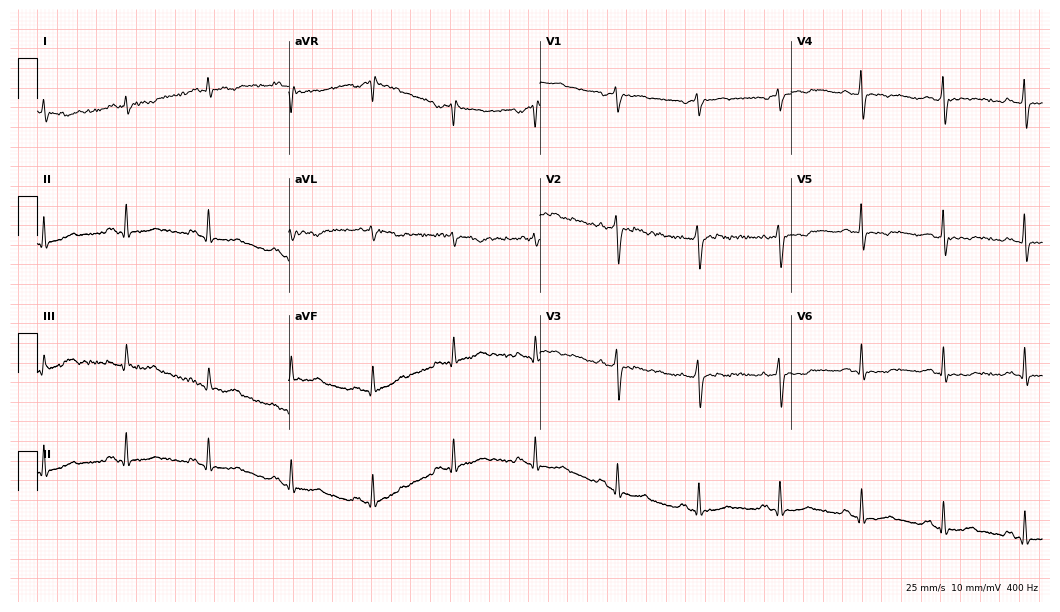
12-lead ECG from a male patient, 69 years old. Recorded interpretation: within normal limits.